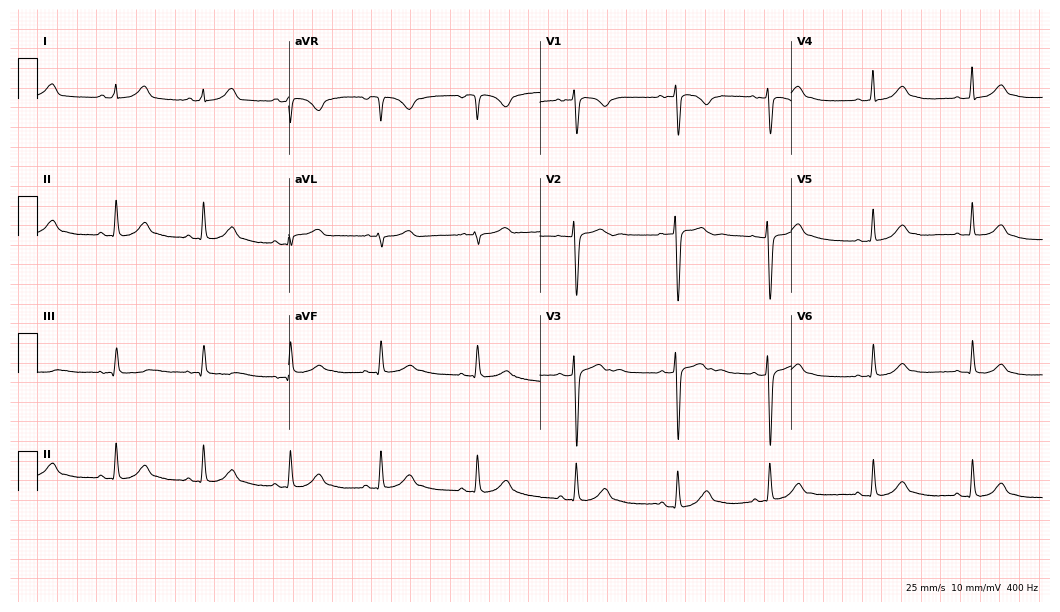
Standard 12-lead ECG recorded from a 20-year-old female (10.2-second recording at 400 Hz). Read as a normal ECG.